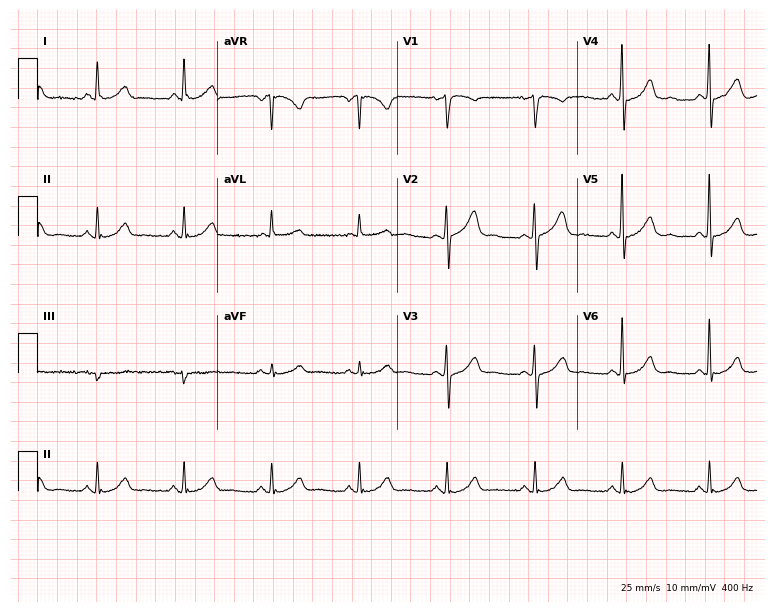
Electrocardiogram (7.3-second recording at 400 Hz), a female patient, 56 years old. Overall reading on record: normal ECG.